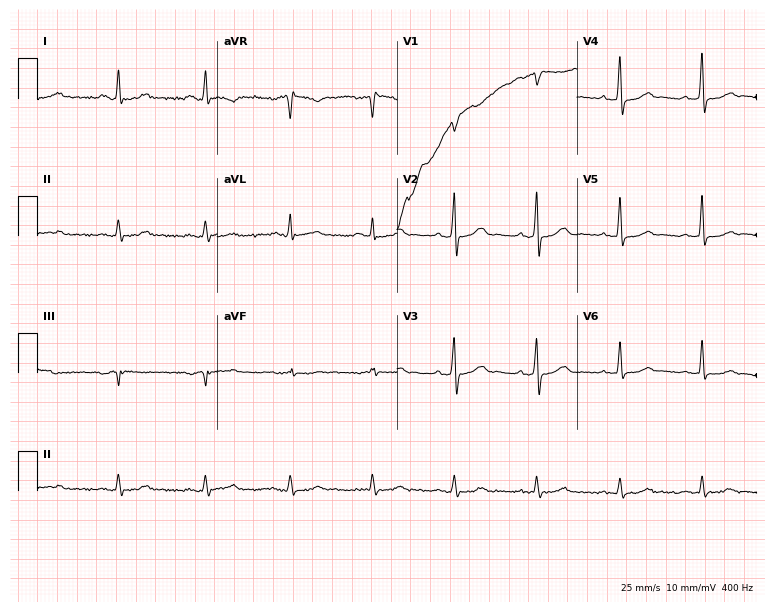
Standard 12-lead ECG recorded from a man, 48 years old (7.3-second recording at 400 Hz). None of these six findings is recorded: first-degree AV block, right bundle branch block, left bundle branch block, sinus bradycardia, atrial fibrillation, sinus tachycardia.